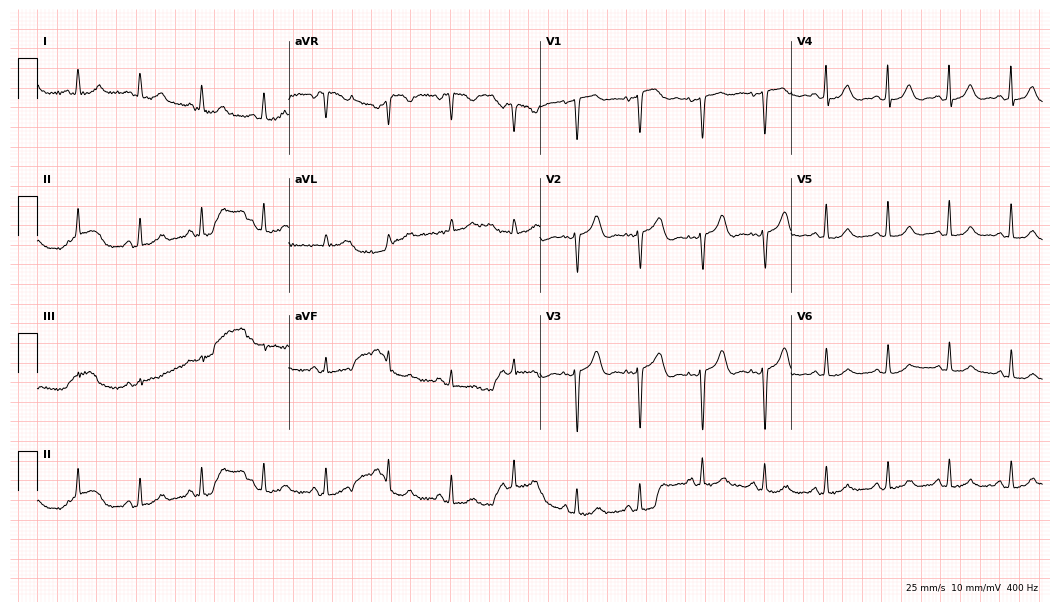
Standard 12-lead ECG recorded from a woman, 74 years old (10.2-second recording at 400 Hz). Read as a normal ECG.